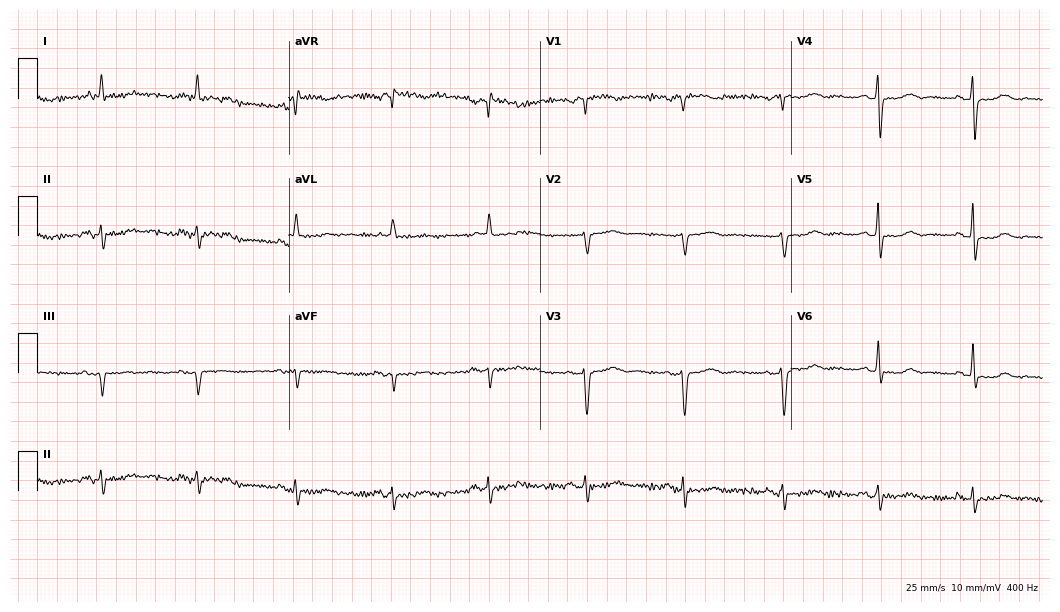
12-lead ECG from a female, 79 years old. No first-degree AV block, right bundle branch block (RBBB), left bundle branch block (LBBB), sinus bradycardia, atrial fibrillation (AF) or sinus tachycardia recorded for this tracing.